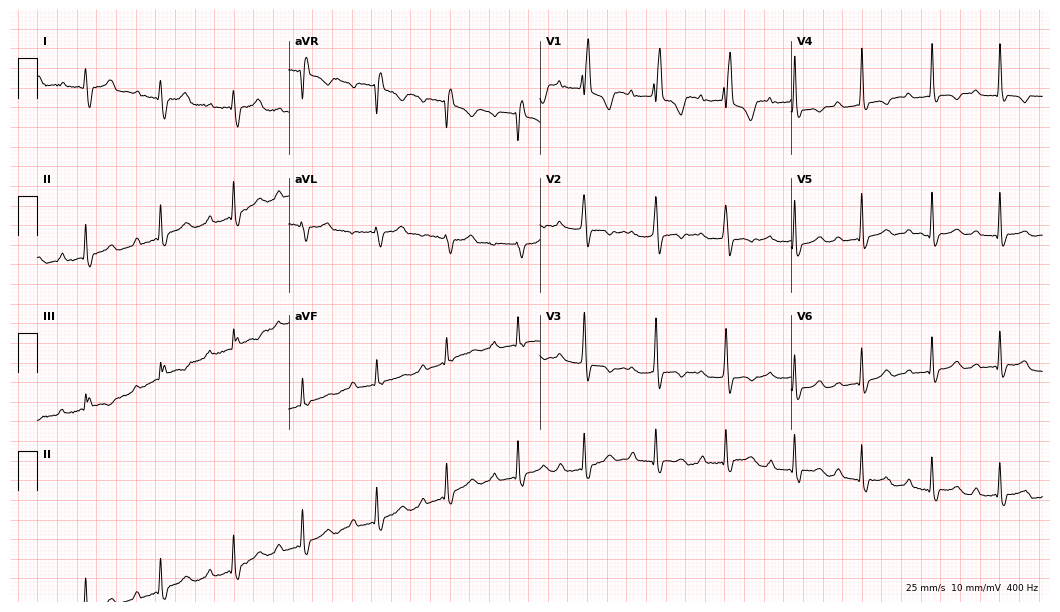
ECG (10.2-second recording at 400 Hz) — a 29-year-old female. Findings include first-degree AV block, right bundle branch block.